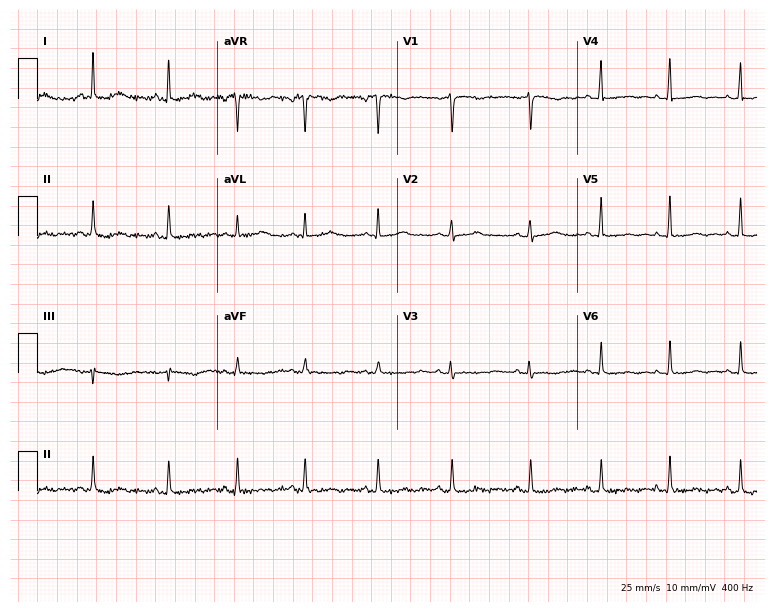
12-lead ECG from a 27-year-old female patient (7.3-second recording at 400 Hz). No first-degree AV block, right bundle branch block (RBBB), left bundle branch block (LBBB), sinus bradycardia, atrial fibrillation (AF) or sinus tachycardia recorded for this tracing.